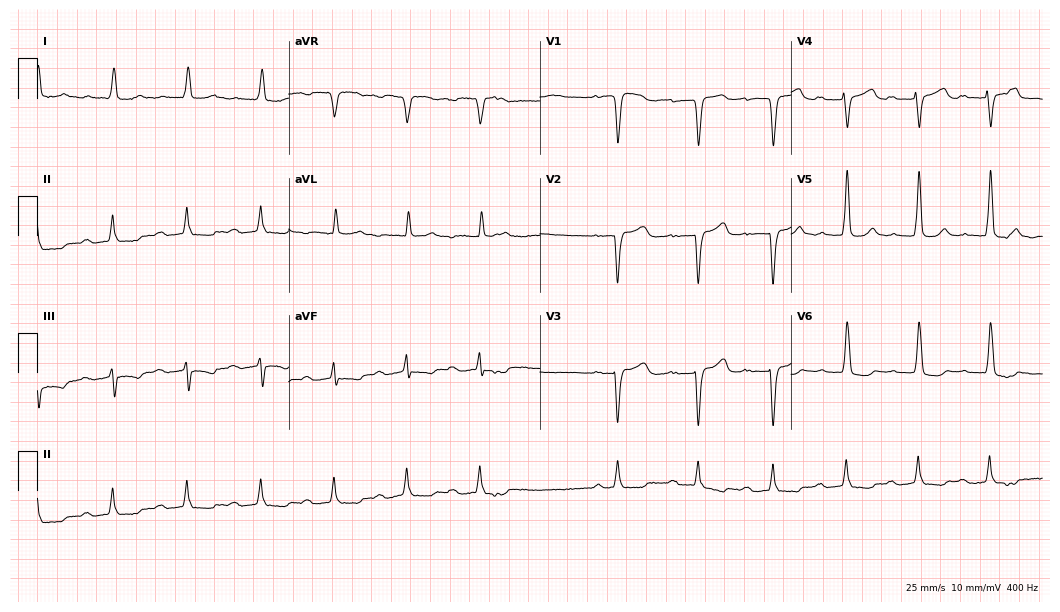
Standard 12-lead ECG recorded from an 84-year-old female. None of these six findings is recorded: first-degree AV block, right bundle branch block, left bundle branch block, sinus bradycardia, atrial fibrillation, sinus tachycardia. Findings outside these six are not listed.